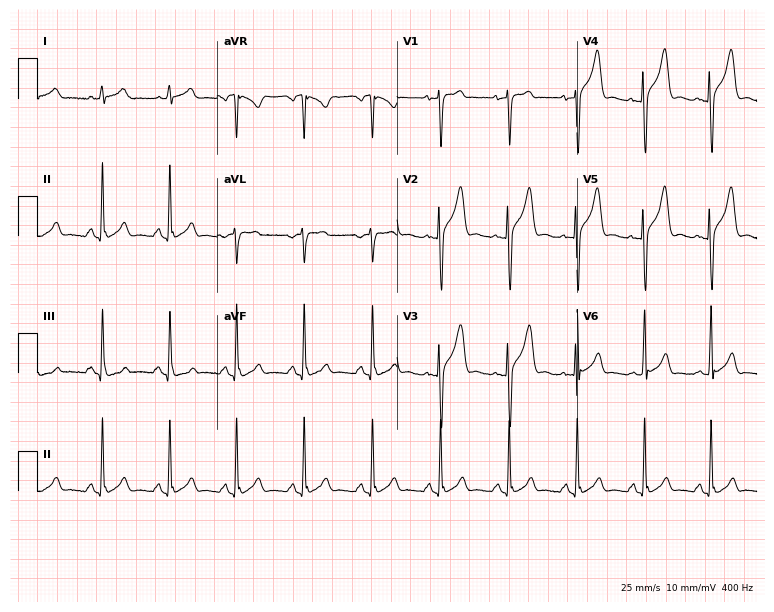
12-lead ECG from an 18-year-old man. Screened for six findings — first-degree AV block, right bundle branch block (RBBB), left bundle branch block (LBBB), sinus bradycardia, atrial fibrillation (AF), sinus tachycardia — none is recorded.